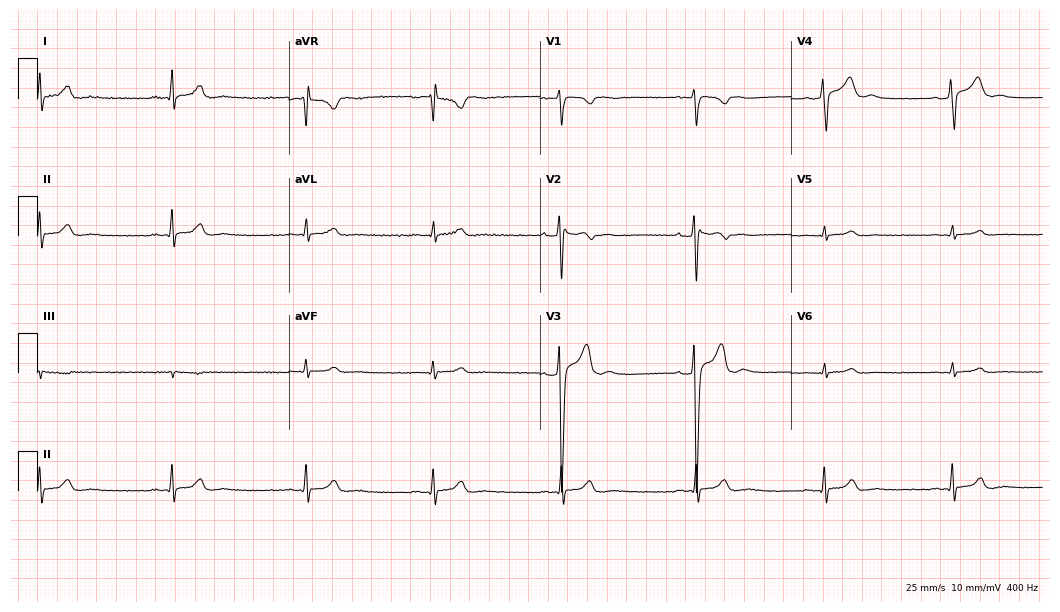
Electrocardiogram, a 22-year-old male patient. Interpretation includes sinus bradycardia (a sinus rate of 50 beats per minute or less).